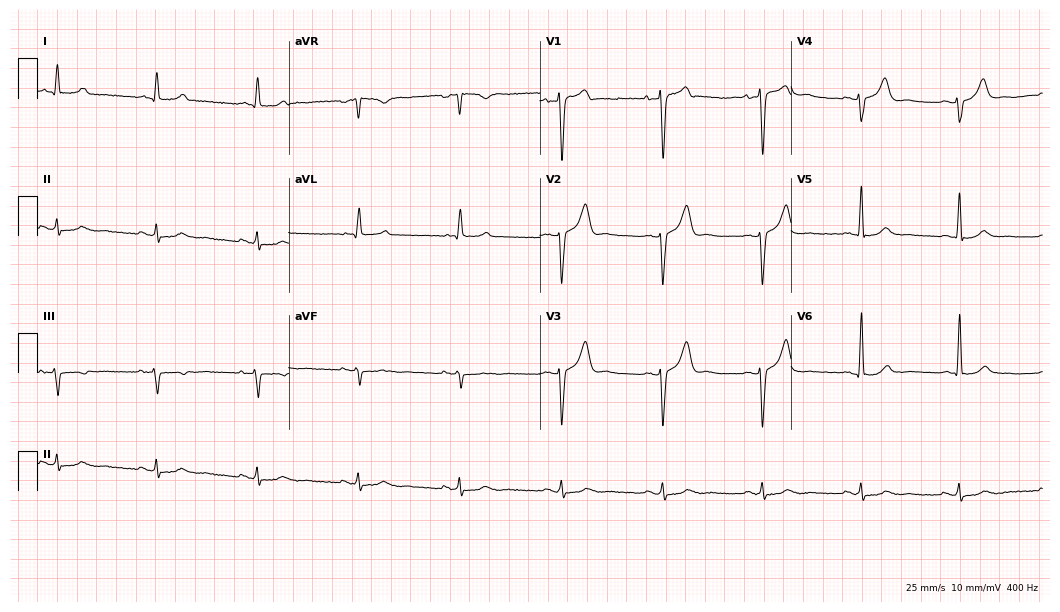
12-lead ECG from a male, 56 years old. No first-degree AV block, right bundle branch block, left bundle branch block, sinus bradycardia, atrial fibrillation or sinus tachycardia recorded for this tracing.